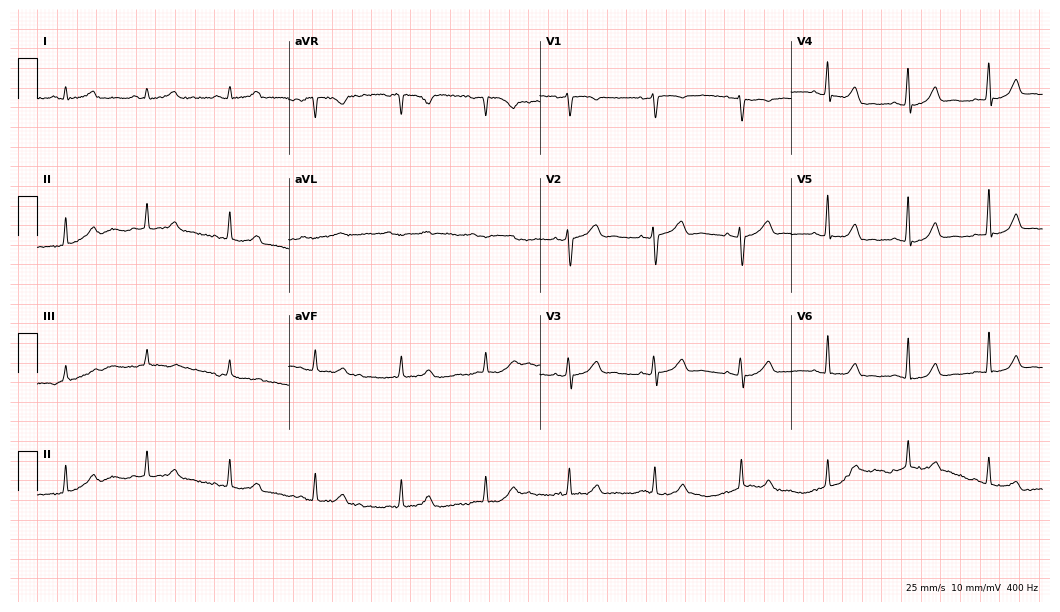
Resting 12-lead electrocardiogram. Patient: a female, 46 years old. Read as a normal ECG.